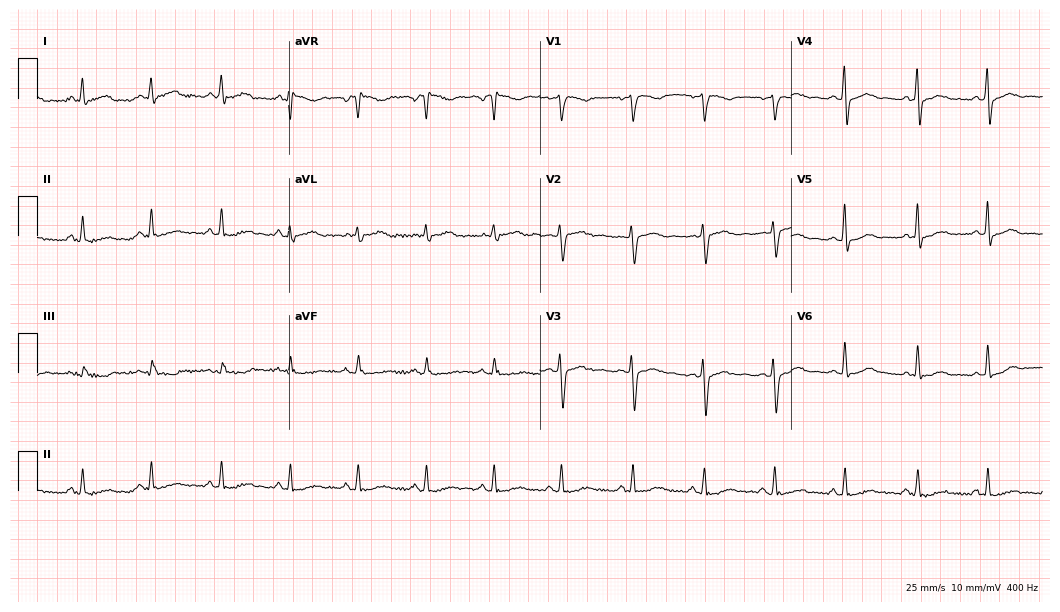
Standard 12-lead ECG recorded from a 42-year-old female patient. None of these six findings is recorded: first-degree AV block, right bundle branch block, left bundle branch block, sinus bradycardia, atrial fibrillation, sinus tachycardia. Only these six findings were labelled.